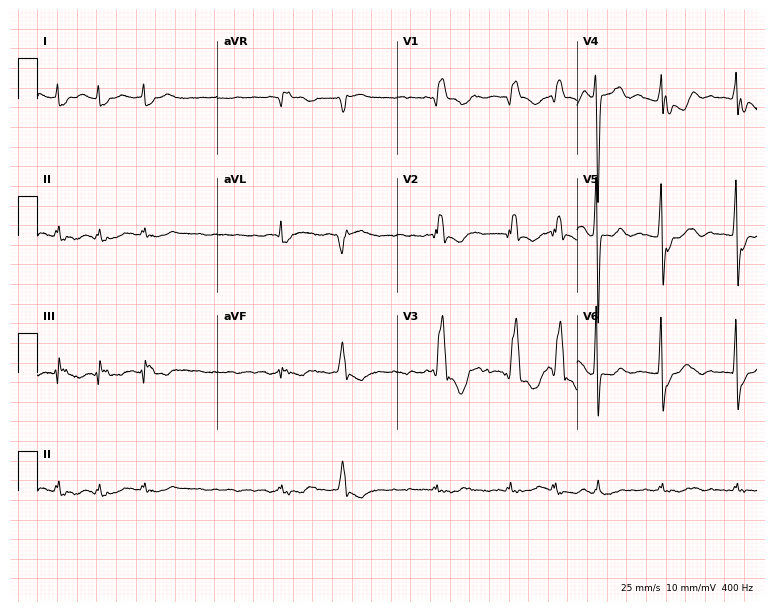
12-lead ECG from a man, 77 years old (7.3-second recording at 400 Hz). Shows right bundle branch block, atrial fibrillation.